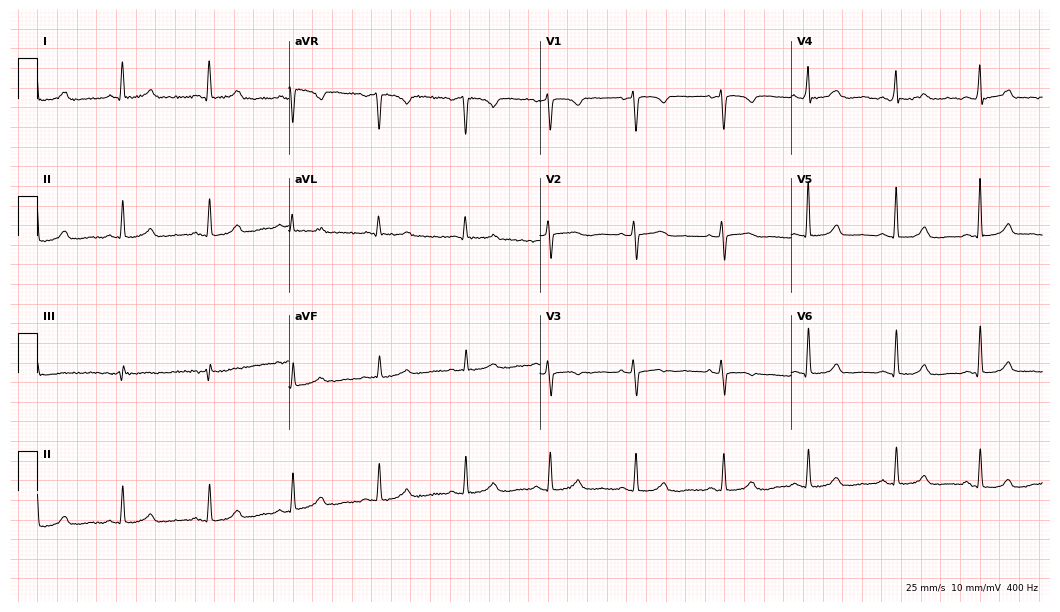
Electrocardiogram, a 48-year-old woman. Overall reading on record: normal ECG.